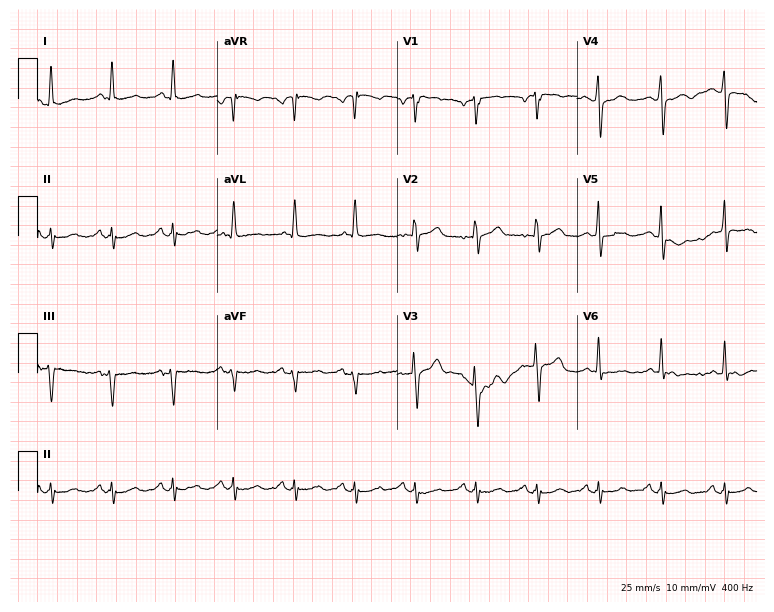
Resting 12-lead electrocardiogram. Patient: a male, 74 years old. None of these six findings is recorded: first-degree AV block, right bundle branch block, left bundle branch block, sinus bradycardia, atrial fibrillation, sinus tachycardia.